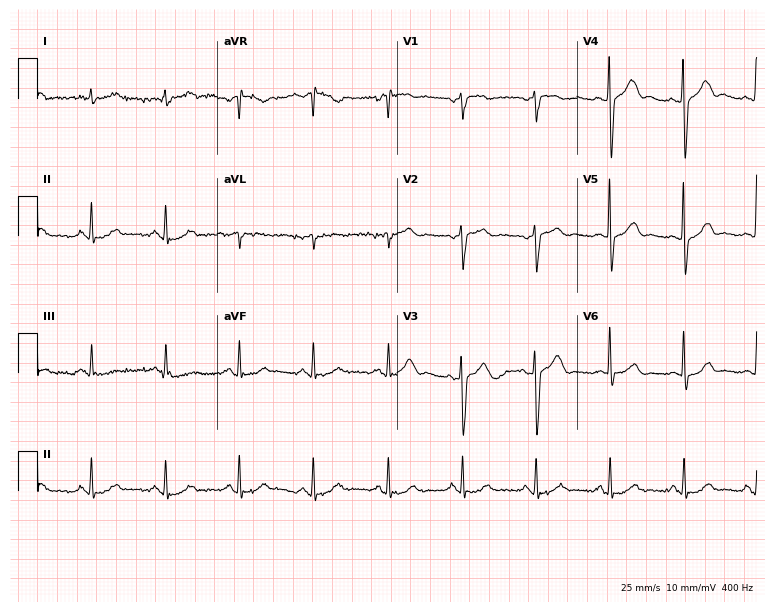
Resting 12-lead electrocardiogram. Patient: a man, 71 years old. None of these six findings is recorded: first-degree AV block, right bundle branch block (RBBB), left bundle branch block (LBBB), sinus bradycardia, atrial fibrillation (AF), sinus tachycardia.